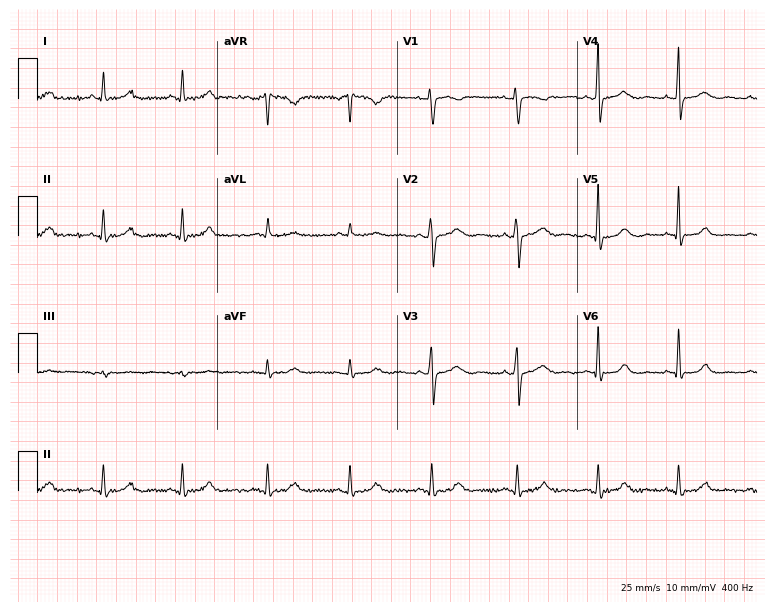
ECG (7.3-second recording at 400 Hz) — a female, 37 years old. Labelled as a normal ECG.